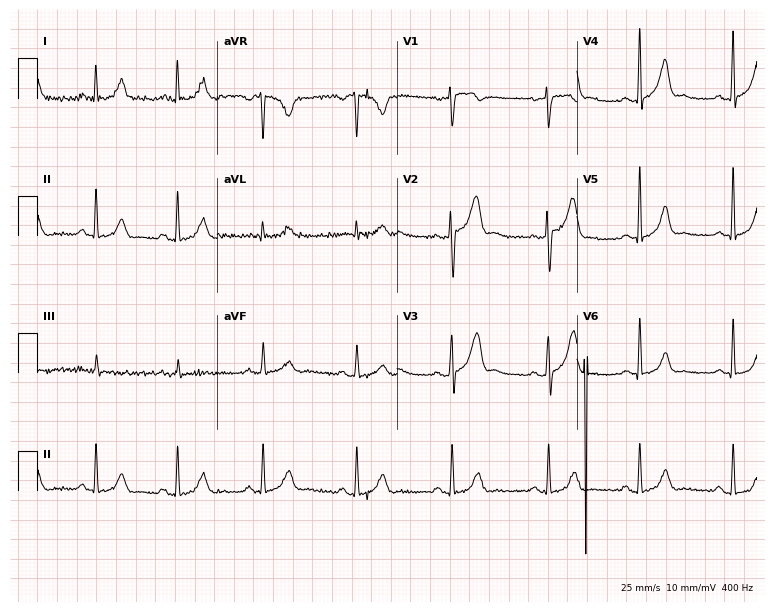
Electrocardiogram (7.3-second recording at 400 Hz), a 47-year-old male patient. Overall reading on record: normal ECG.